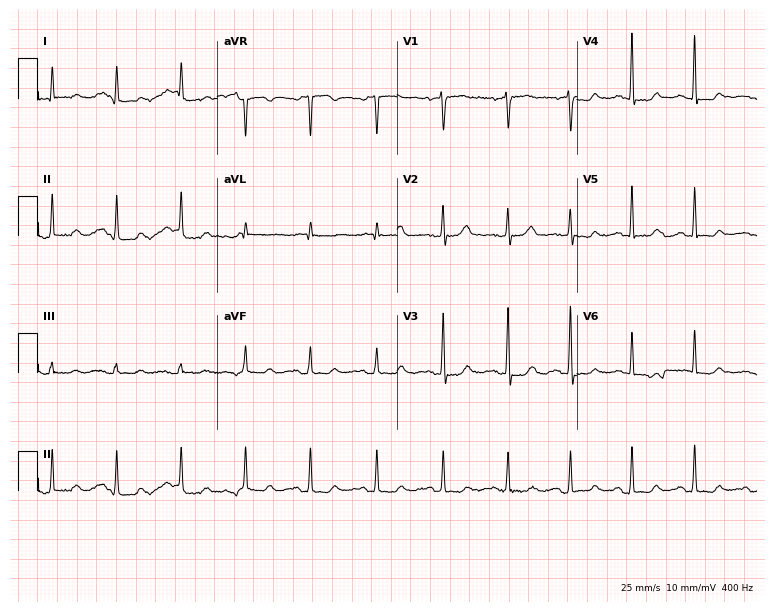
12-lead ECG from a woman, 68 years old. Recorded interpretation: within normal limits.